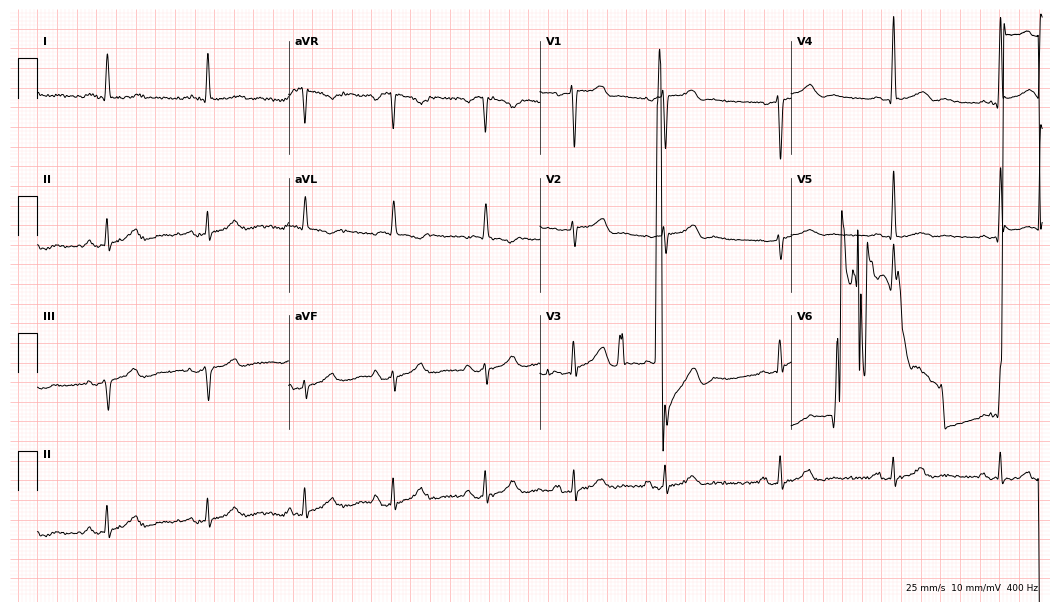
ECG — an 85-year-old female patient. Screened for six findings — first-degree AV block, right bundle branch block, left bundle branch block, sinus bradycardia, atrial fibrillation, sinus tachycardia — none is recorded.